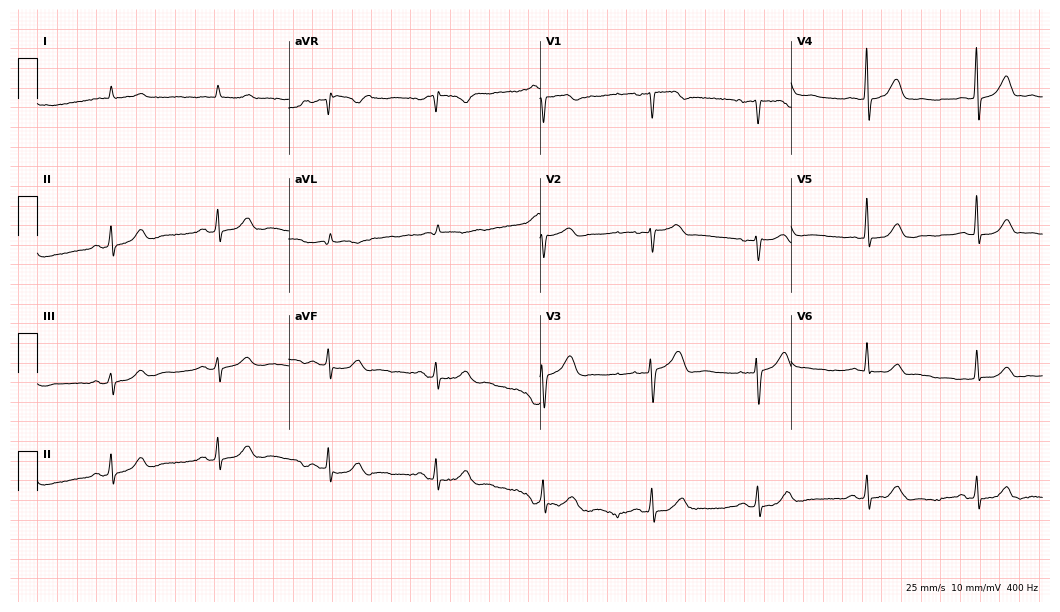
Standard 12-lead ECG recorded from an 83-year-old male (10.2-second recording at 400 Hz). Read as a normal ECG.